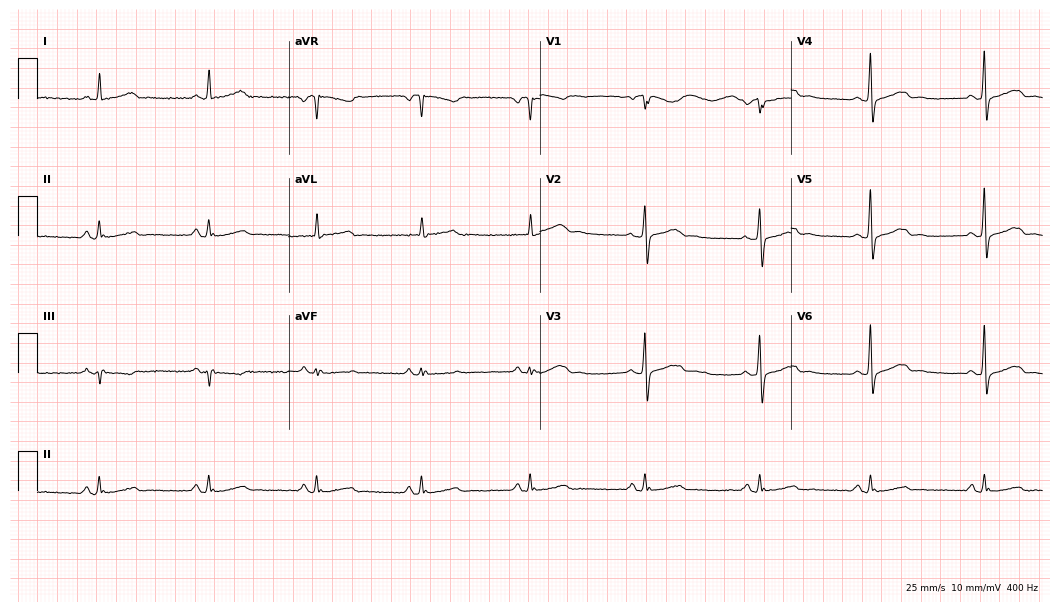
12-lead ECG (10.2-second recording at 400 Hz) from a 61-year-old woman. Labelled as a normal ECG.